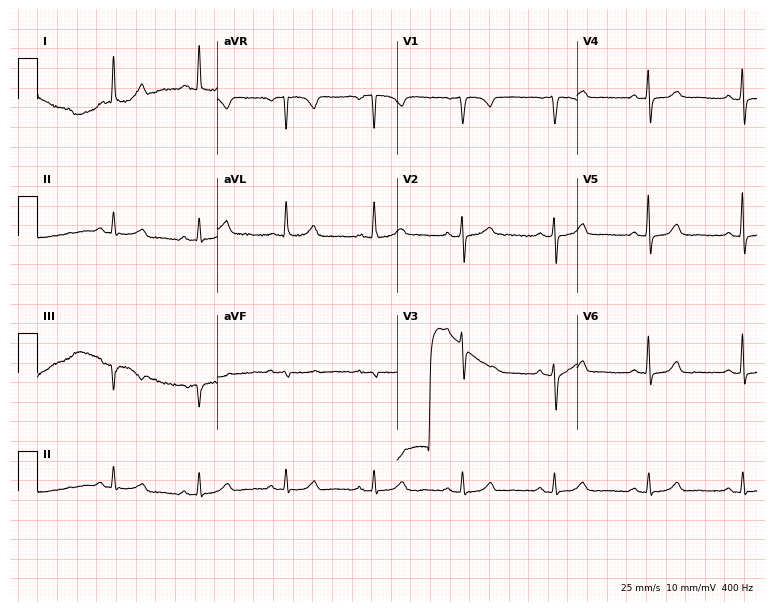
12-lead ECG from a 72-year-old female patient. Labelled as a normal ECG.